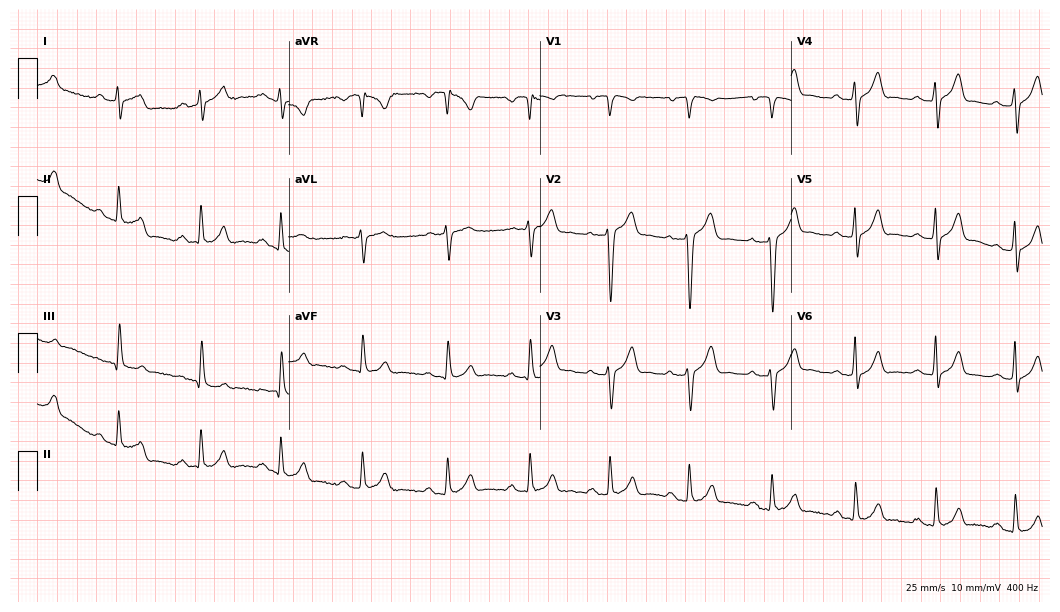
Resting 12-lead electrocardiogram. Patient: a man, 26 years old. Read as a normal ECG.